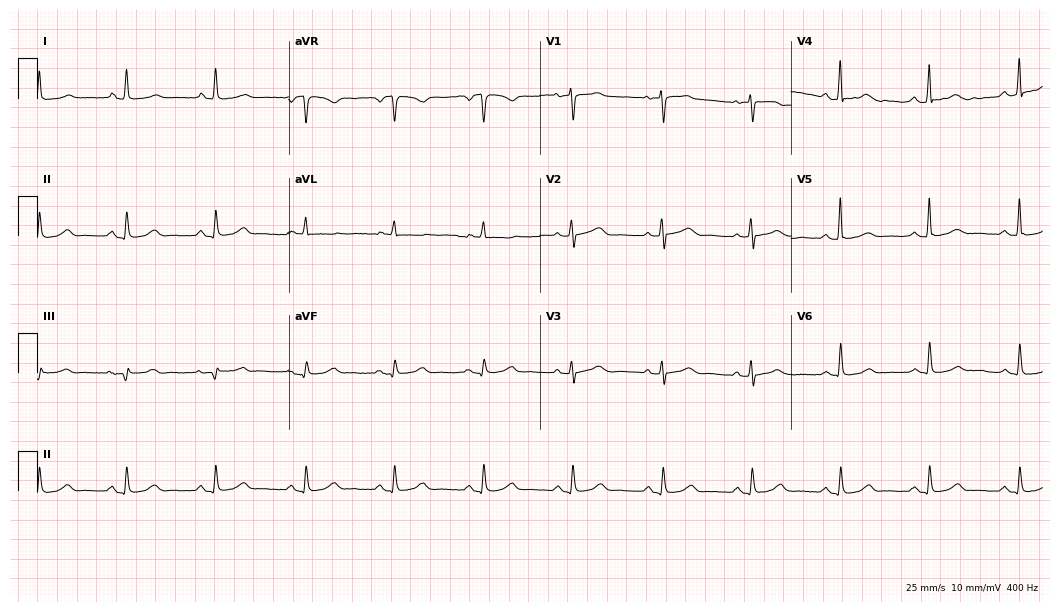
12-lead ECG (10.2-second recording at 400 Hz) from a female patient, 73 years old. Labelled as a normal ECG.